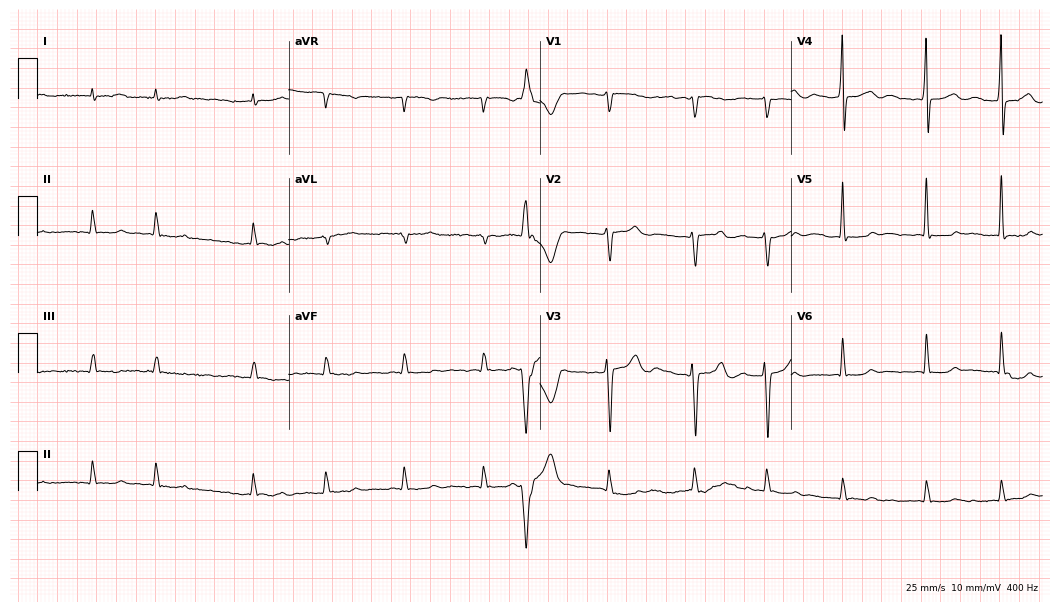
Standard 12-lead ECG recorded from an 85-year-old male patient. The tracing shows atrial fibrillation.